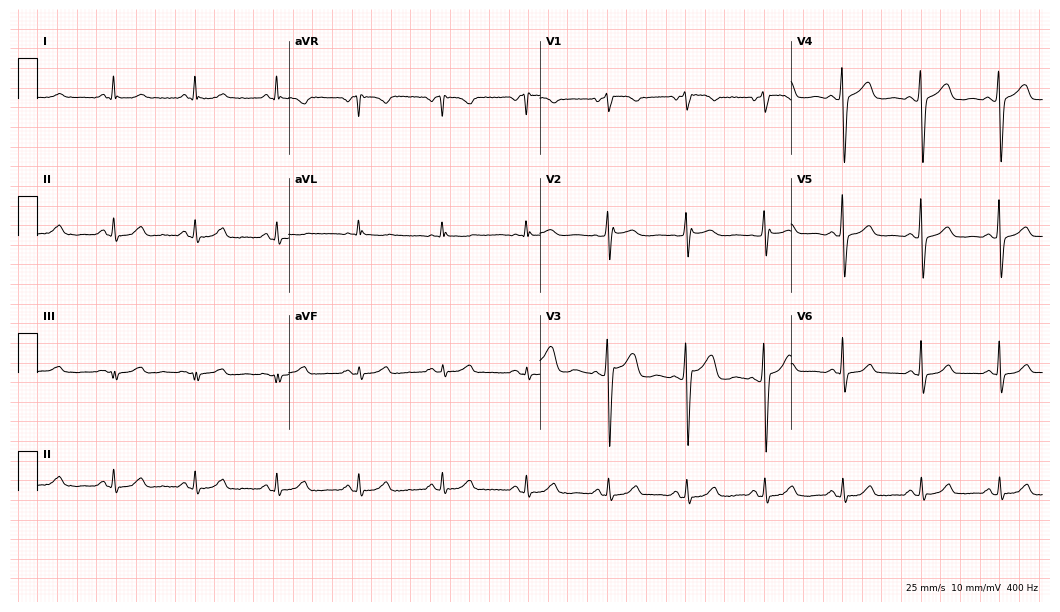
ECG — a 55-year-old female patient. Labelled as a normal ECG.